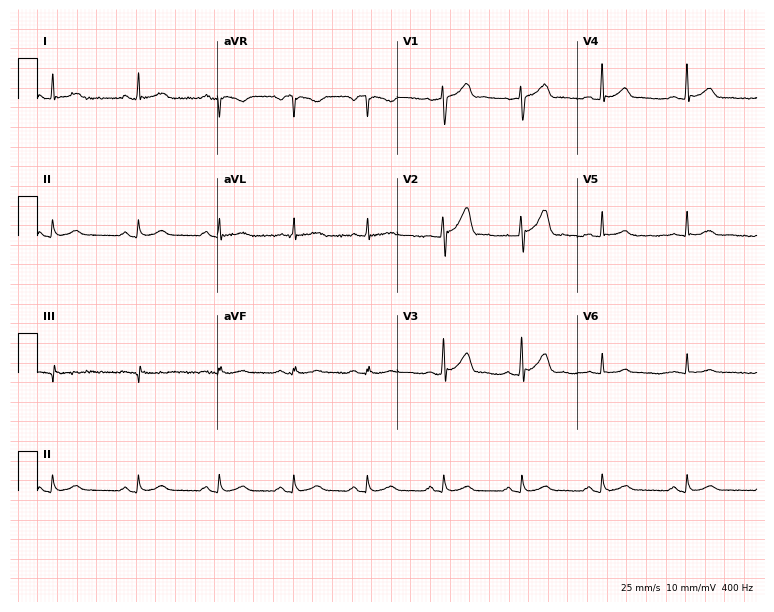
12-lead ECG (7.3-second recording at 400 Hz) from a 47-year-old male. Screened for six findings — first-degree AV block, right bundle branch block (RBBB), left bundle branch block (LBBB), sinus bradycardia, atrial fibrillation (AF), sinus tachycardia — none is recorded. Only these six findings were labelled.